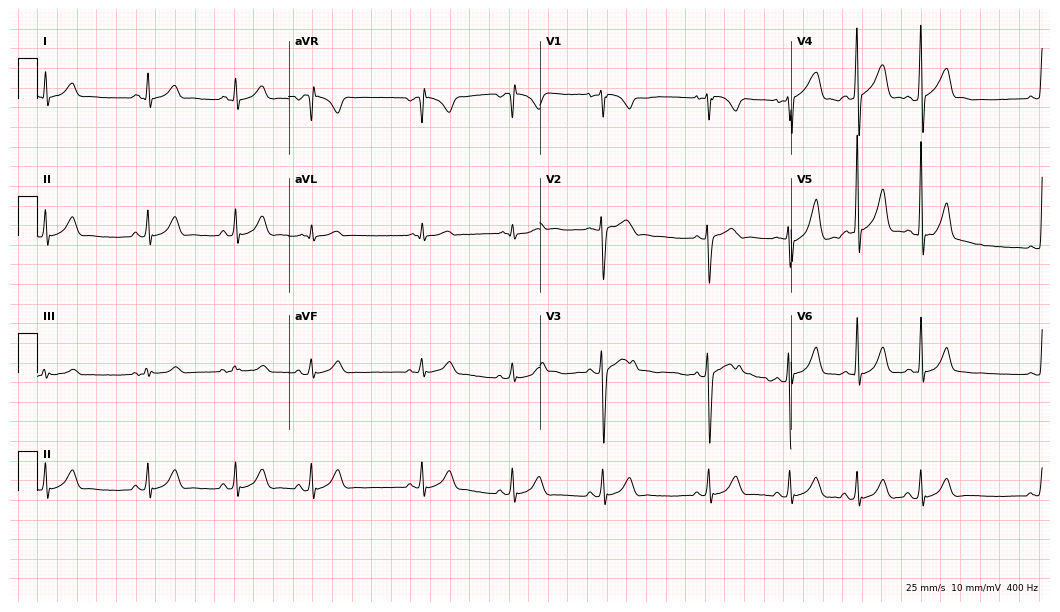
Resting 12-lead electrocardiogram (10.2-second recording at 400 Hz). Patient: a 20-year-old man. Read as a normal ECG.